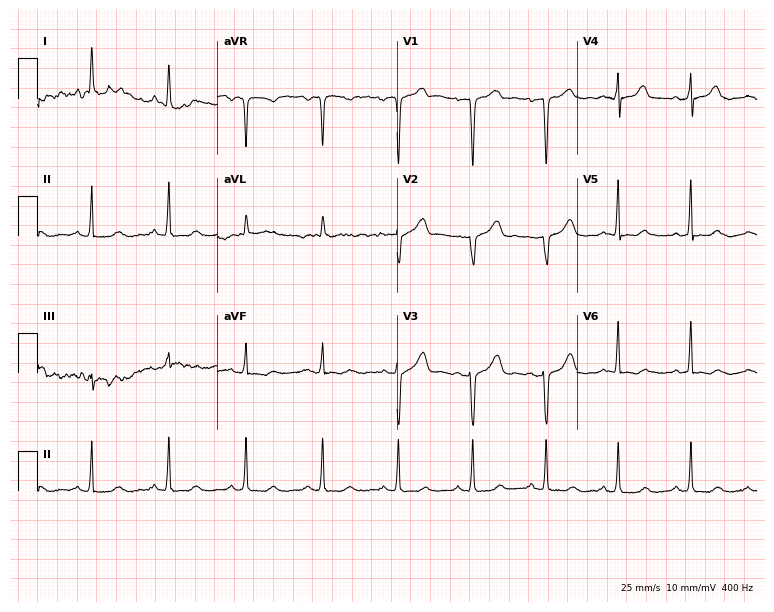
12-lead ECG from a woman, 44 years old. No first-degree AV block, right bundle branch block, left bundle branch block, sinus bradycardia, atrial fibrillation or sinus tachycardia recorded for this tracing. Findings outside these six are not listed.